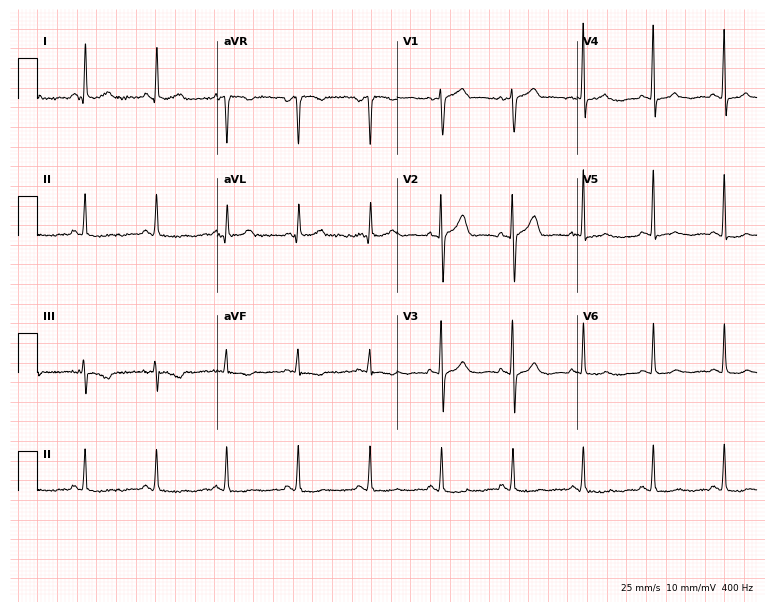
ECG (7.3-second recording at 400 Hz) — a female patient, 55 years old. Screened for six findings — first-degree AV block, right bundle branch block, left bundle branch block, sinus bradycardia, atrial fibrillation, sinus tachycardia — none is recorded.